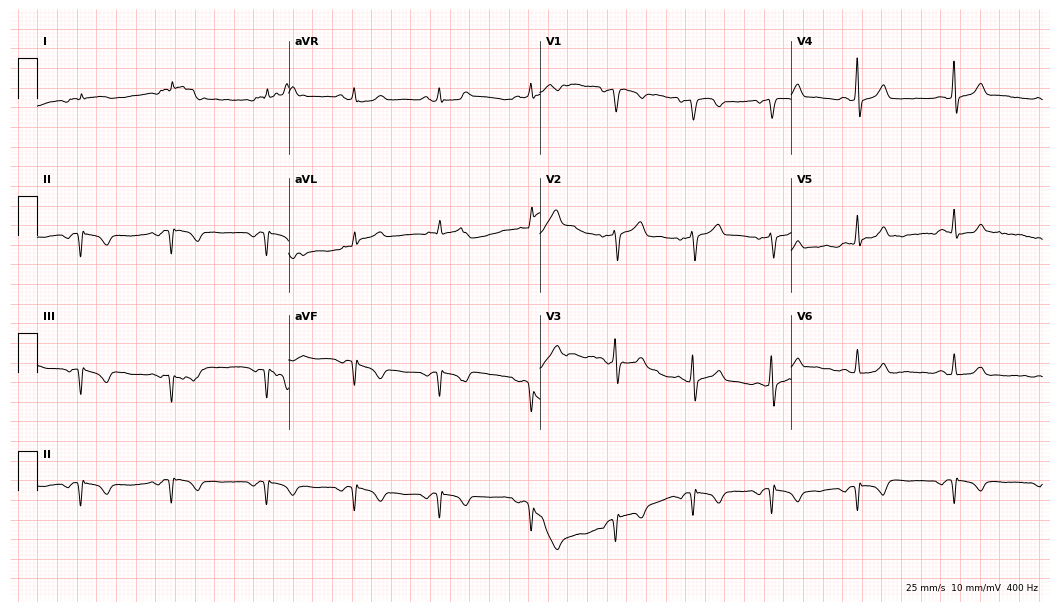
12-lead ECG (10.2-second recording at 400 Hz) from a 44-year-old woman. Screened for six findings — first-degree AV block, right bundle branch block, left bundle branch block, sinus bradycardia, atrial fibrillation, sinus tachycardia — none is recorded. Only these six findings were labelled.